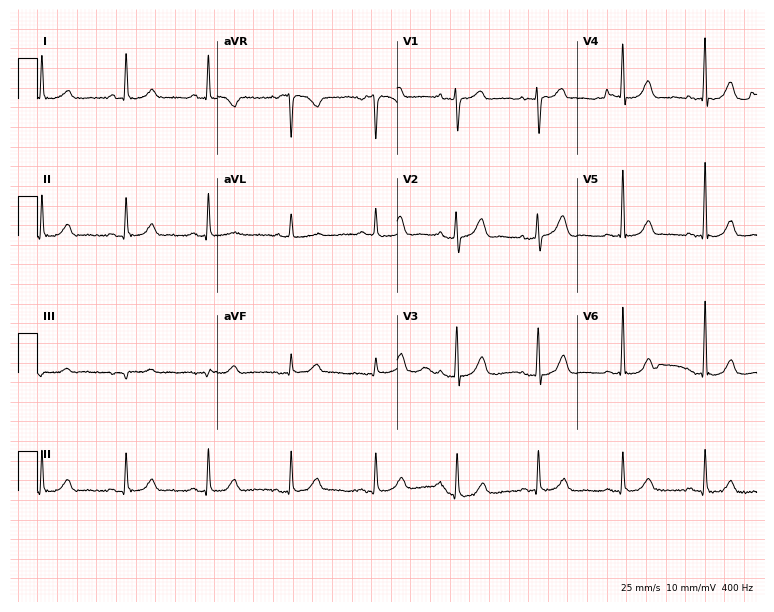
Resting 12-lead electrocardiogram (7.3-second recording at 400 Hz). Patient: a female, 76 years old. None of these six findings is recorded: first-degree AV block, right bundle branch block, left bundle branch block, sinus bradycardia, atrial fibrillation, sinus tachycardia.